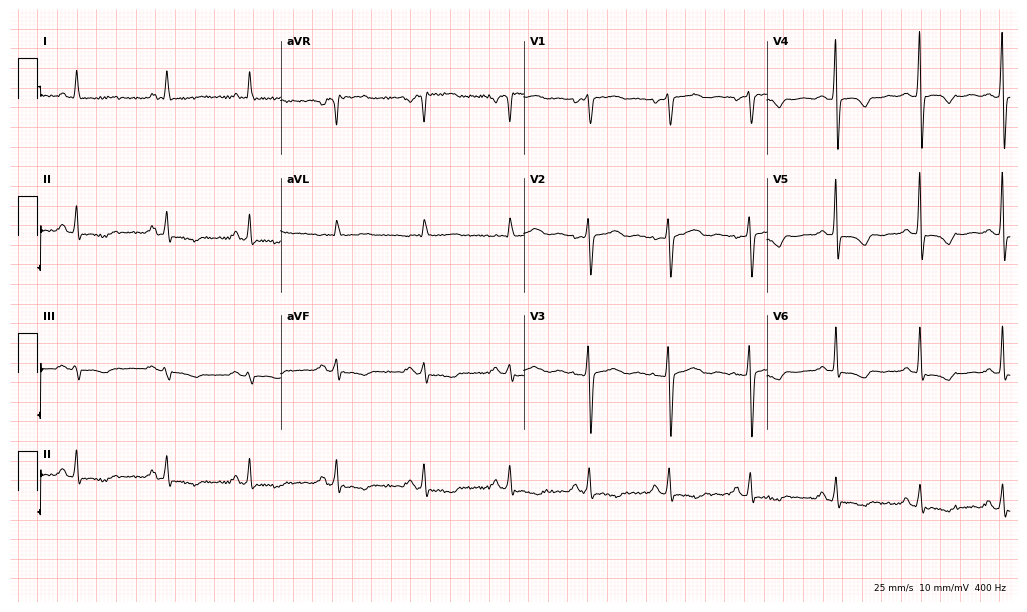
Standard 12-lead ECG recorded from a female, 41 years old (9.9-second recording at 400 Hz). None of these six findings is recorded: first-degree AV block, right bundle branch block (RBBB), left bundle branch block (LBBB), sinus bradycardia, atrial fibrillation (AF), sinus tachycardia. Only these six findings were labelled.